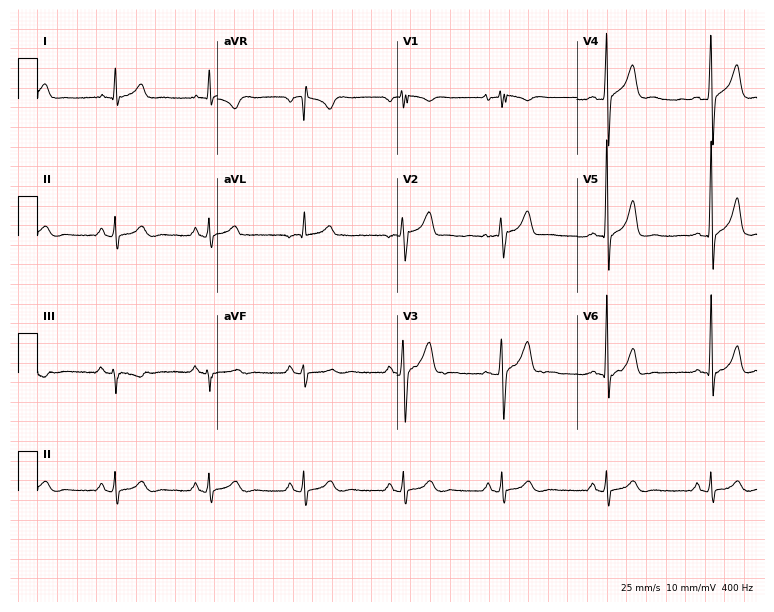
Resting 12-lead electrocardiogram (7.3-second recording at 400 Hz). Patient: a 51-year-old male. Read as a normal ECG.